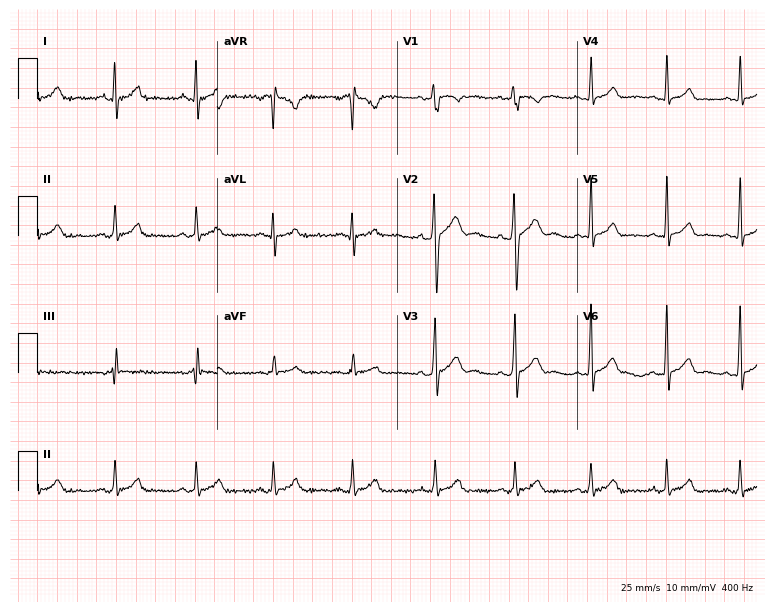
Resting 12-lead electrocardiogram. Patient: a 23-year-old male. Read as a normal ECG.